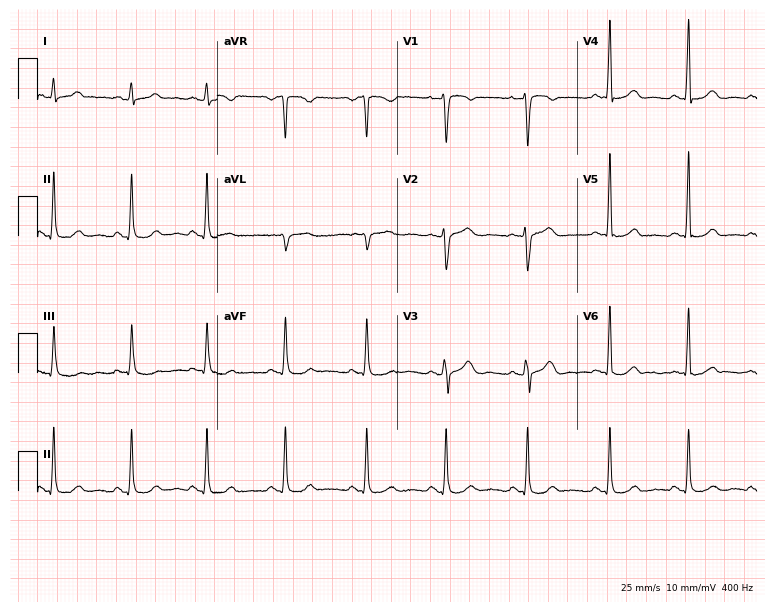
Electrocardiogram (7.3-second recording at 400 Hz), a female patient, 34 years old. Overall reading on record: normal ECG.